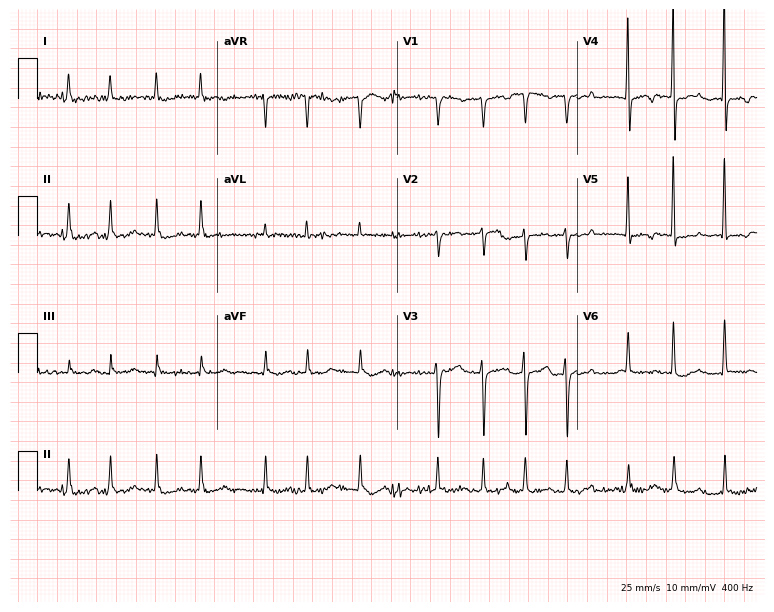
12-lead ECG from an 81-year-old female patient (7.3-second recording at 400 Hz). Shows atrial fibrillation.